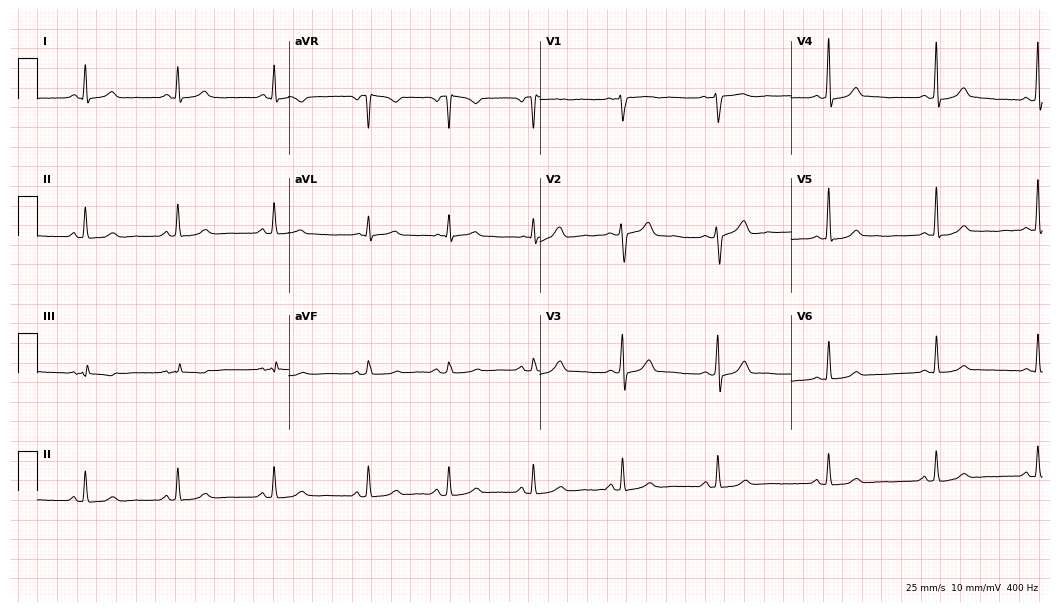
12-lead ECG (10.2-second recording at 400 Hz) from a 36-year-old female patient. Screened for six findings — first-degree AV block, right bundle branch block, left bundle branch block, sinus bradycardia, atrial fibrillation, sinus tachycardia — none is recorded. Other findings, if any, are not listed.